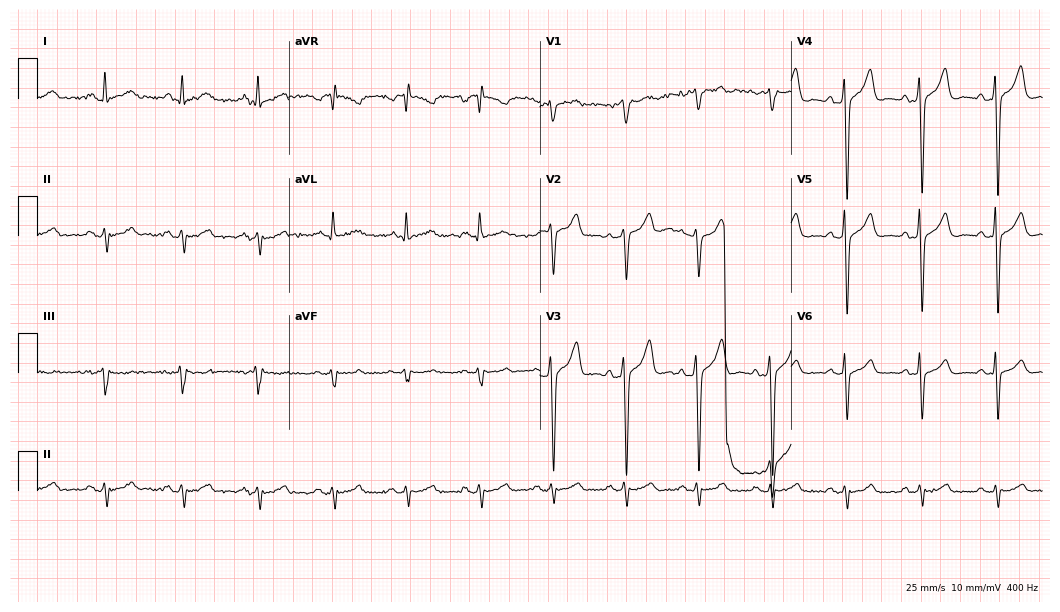
Electrocardiogram (10.2-second recording at 400 Hz), a male patient, 43 years old. Of the six screened findings (first-degree AV block, right bundle branch block, left bundle branch block, sinus bradycardia, atrial fibrillation, sinus tachycardia), none is recorded. Findings outside these six are not listed.